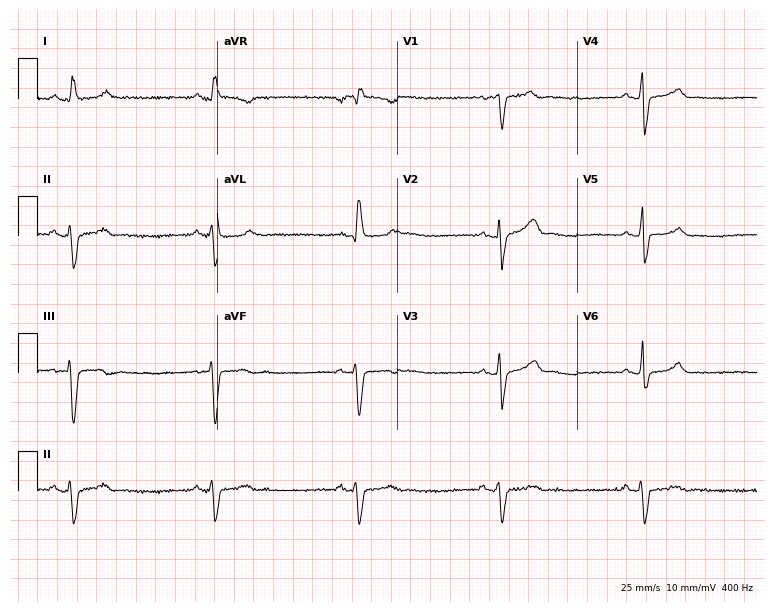
12-lead ECG from a 67-year-old male. Shows sinus bradycardia (a sinus rate of 50 beats per minute or less).